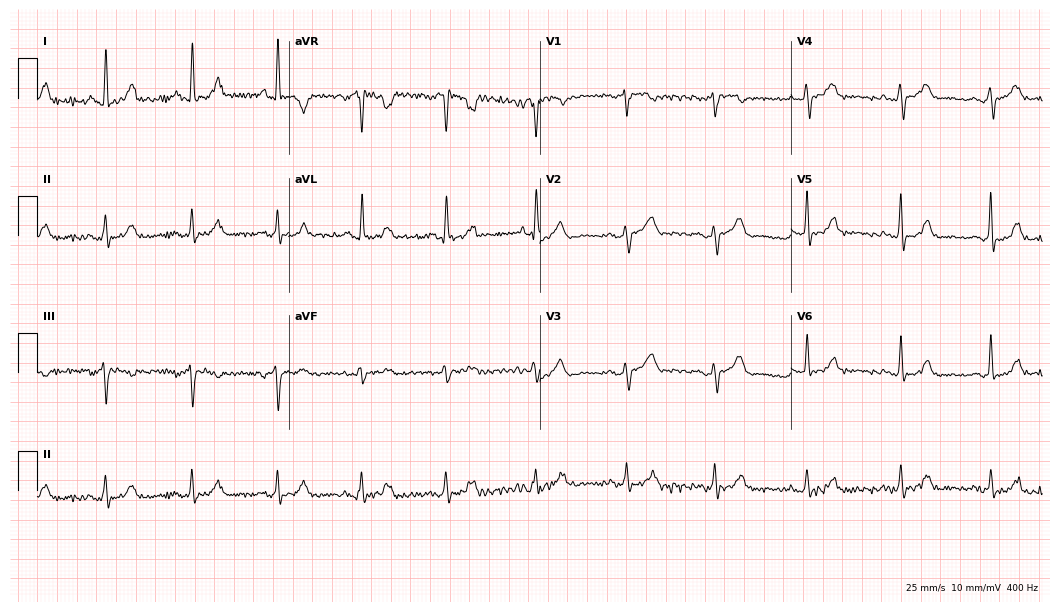
Electrocardiogram, a woman, 50 years old. Overall reading on record: normal ECG.